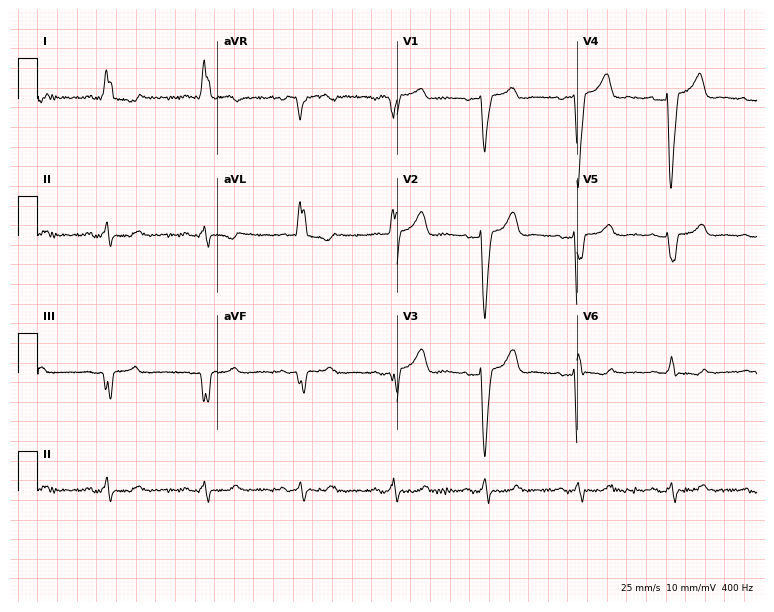
Resting 12-lead electrocardiogram (7.3-second recording at 400 Hz). Patient: a 53-year-old female. The tracing shows left bundle branch block (LBBB).